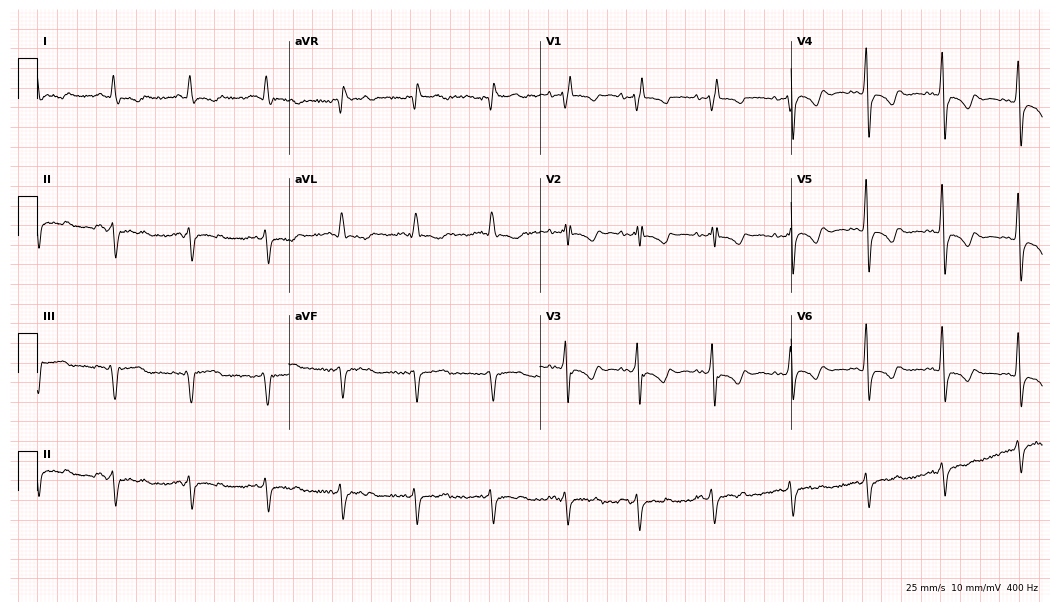
12-lead ECG from a female patient, 74 years old (10.2-second recording at 400 Hz). Shows right bundle branch block (RBBB).